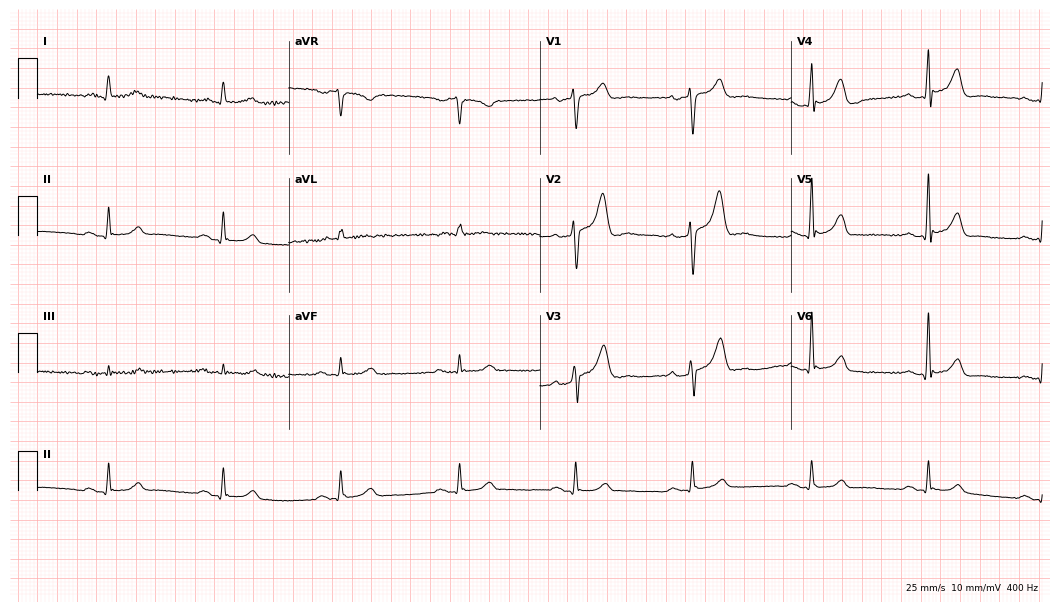
12-lead ECG from a 65-year-old male (10.2-second recording at 400 Hz). Shows first-degree AV block.